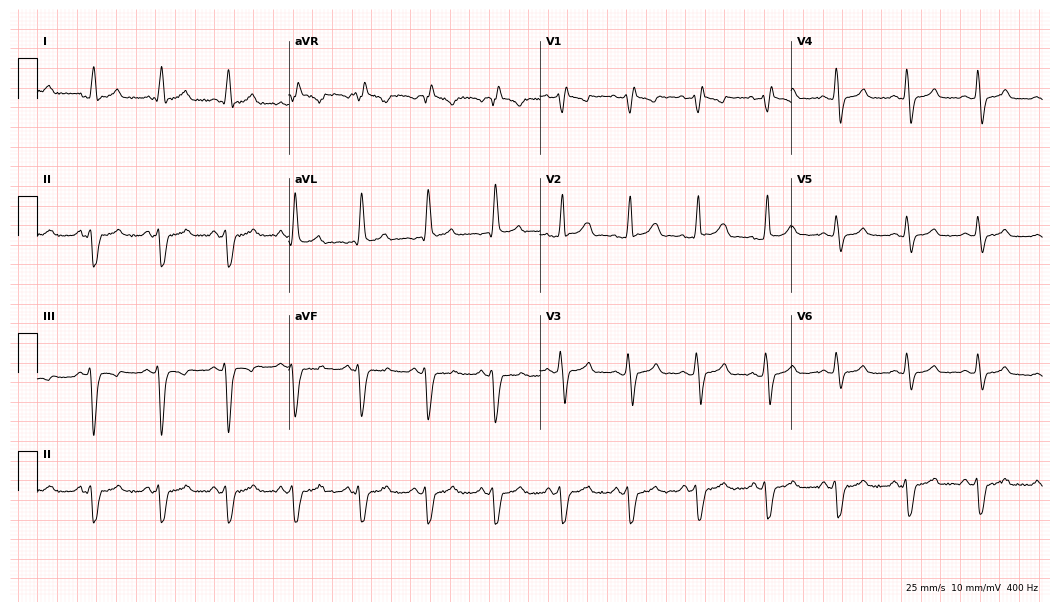
Resting 12-lead electrocardiogram. Patient: a 55-year-old man. None of these six findings is recorded: first-degree AV block, right bundle branch block (RBBB), left bundle branch block (LBBB), sinus bradycardia, atrial fibrillation (AF), sinus tachycardia. Findings outside these six are not listed.